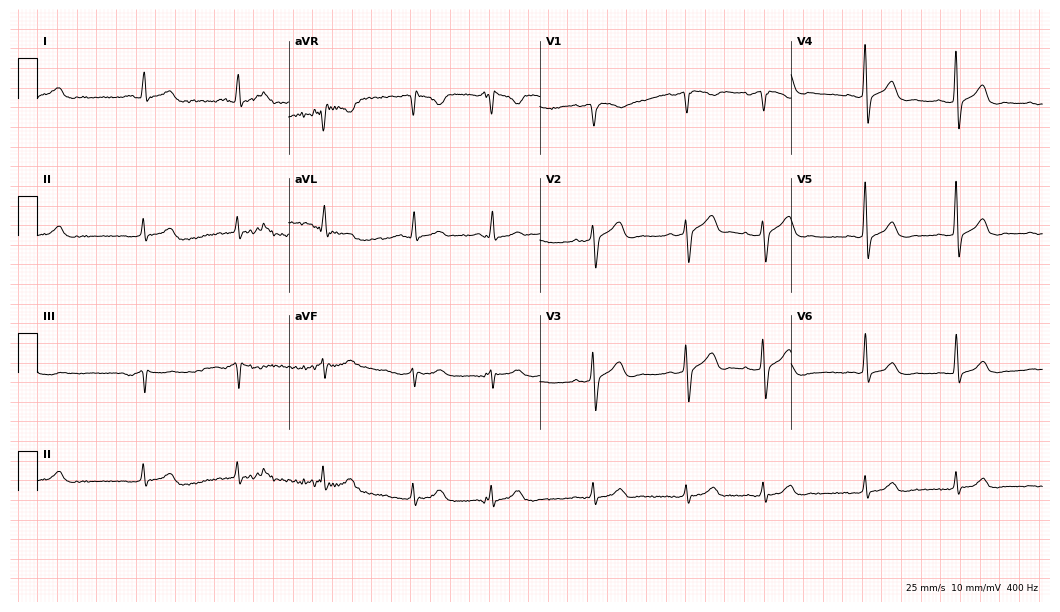
ECG — a 77-year-old male. Labelled as a normal ECG.